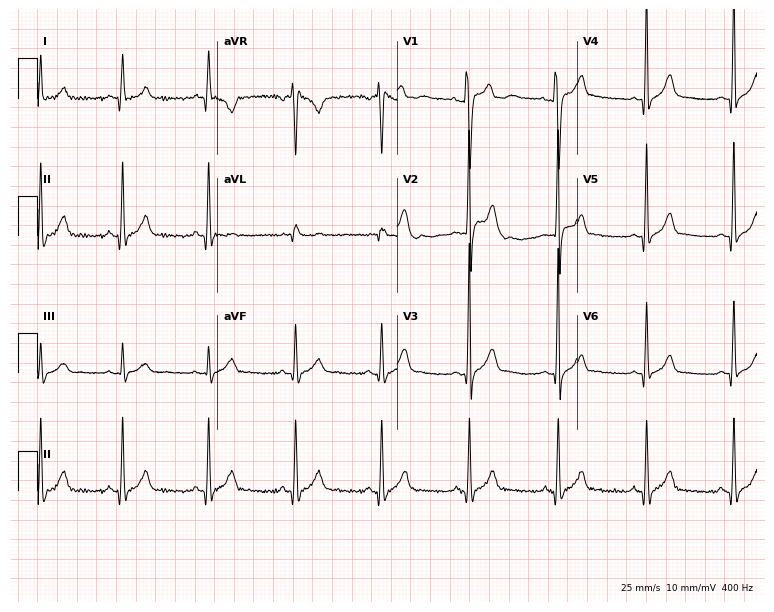
12-lead ECG from a 26-year-old male patient. Recorded interpretation: within normal limits.